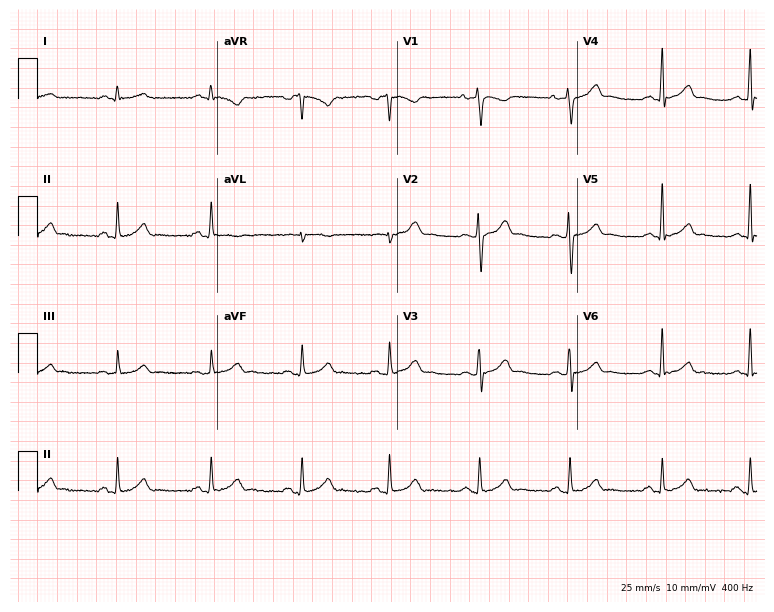
Resting 12-lead electrocardiogram. Patient: a male, 52 years old. Read as a normal ECG.